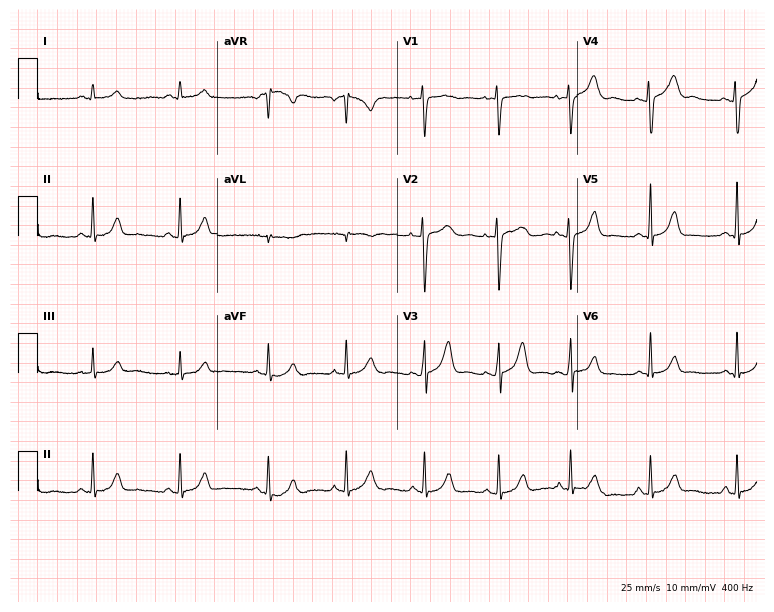
Standard 12-lead ECG recorded from a 29-year-old woman (7.3-second recording at 400 Hz). Read as a normal ECG.